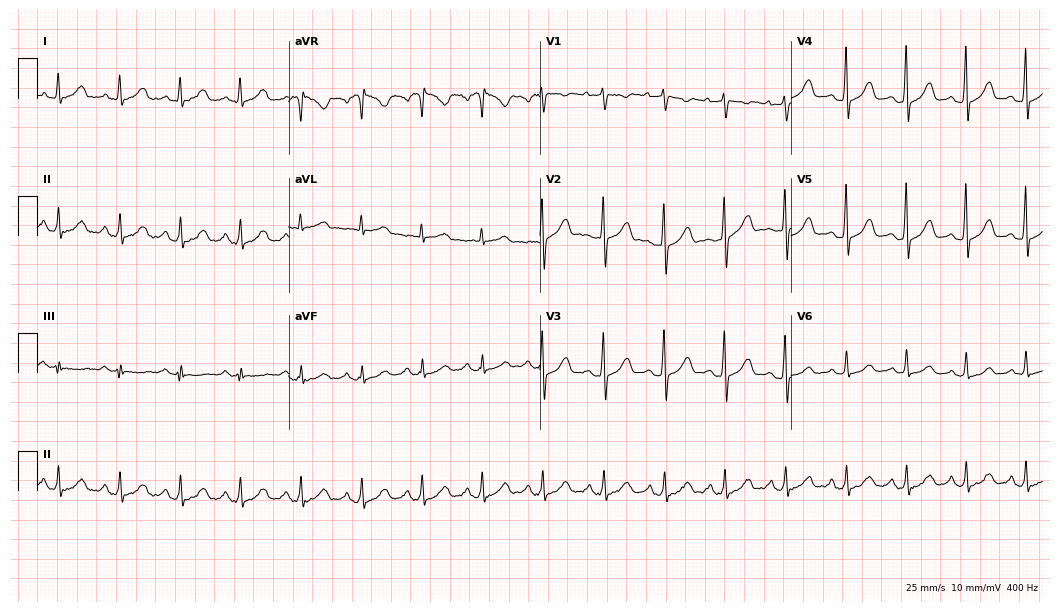
Electrocardiogram (10.2-second recording at 400 Hz), a female, 37 years old. Overall reading on record: normal ECG.